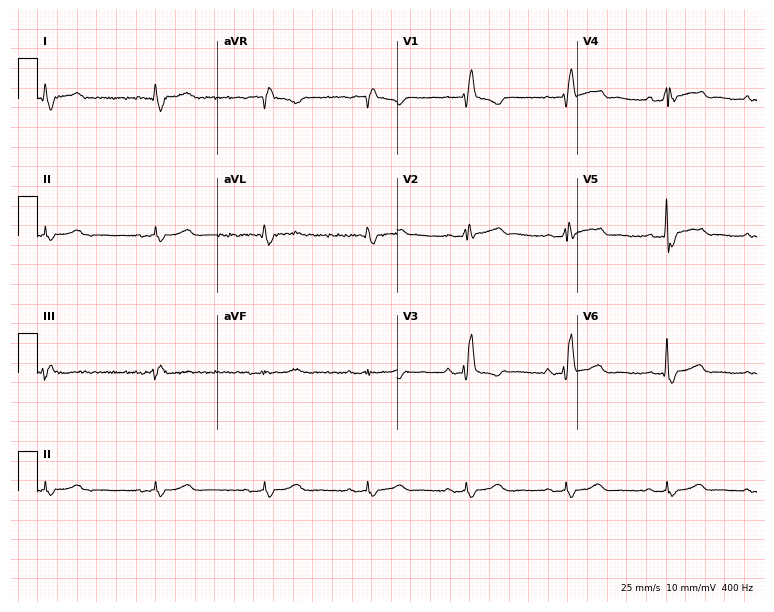
12-lead ECG (7.3-second recording at 400 Hz) from a 62-year-old man. Screened for six findings — first-degree AV block, right bundle branch block, left bundle branch block, sinus bradycardia, atrial fibrillation, sinus tachycardia — none is recorded. Findings outside these six are not listed.